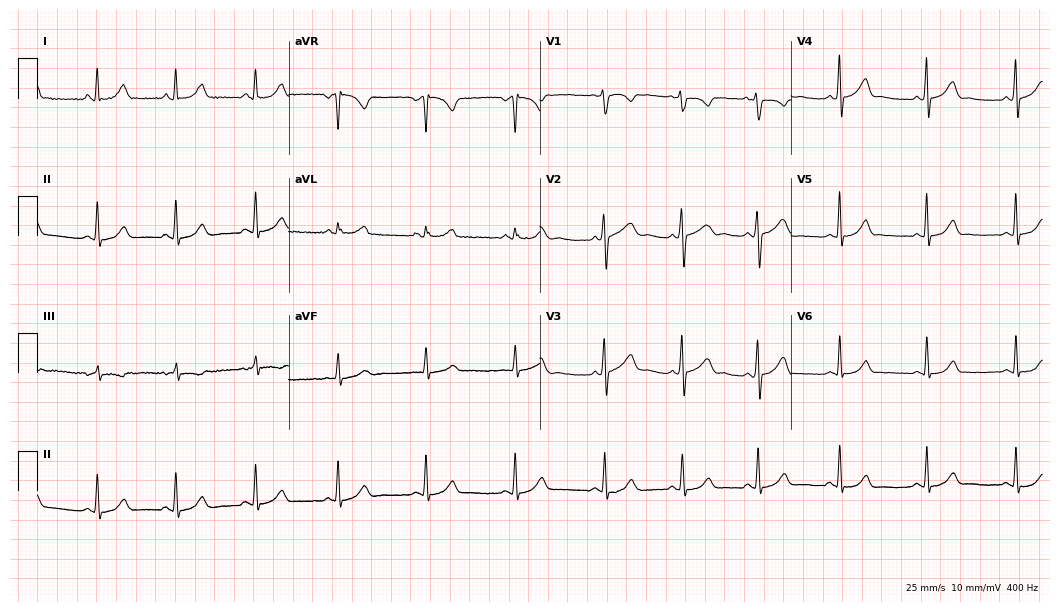
Standard 12-lead ECG recorded from a female, 21 years old (10.2-second recording at 400 Hz). Read as a normal ECG.